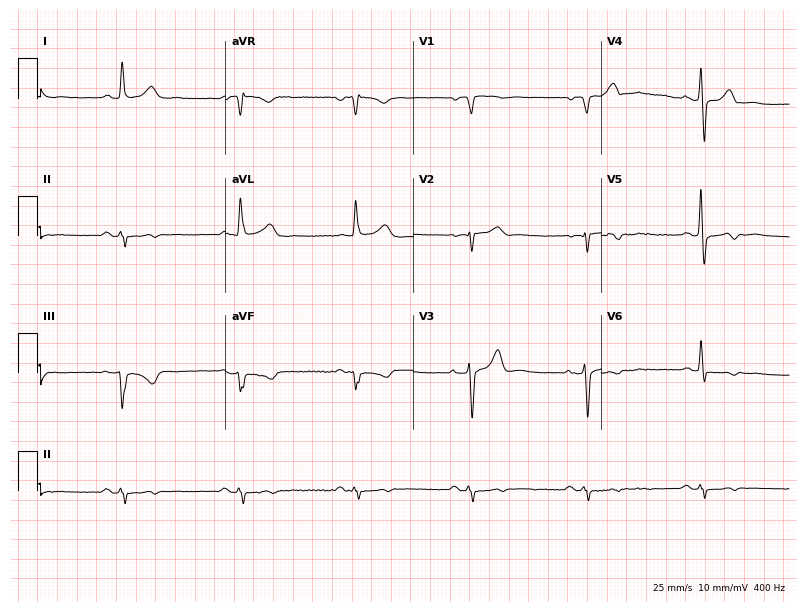
Standard 12-lead ECG recorded from a 58-year-old man (7.7-second recording at 400 Hz). The tracing shows sinus bradycardia (a sinus rate of 50 beats per minute or less).